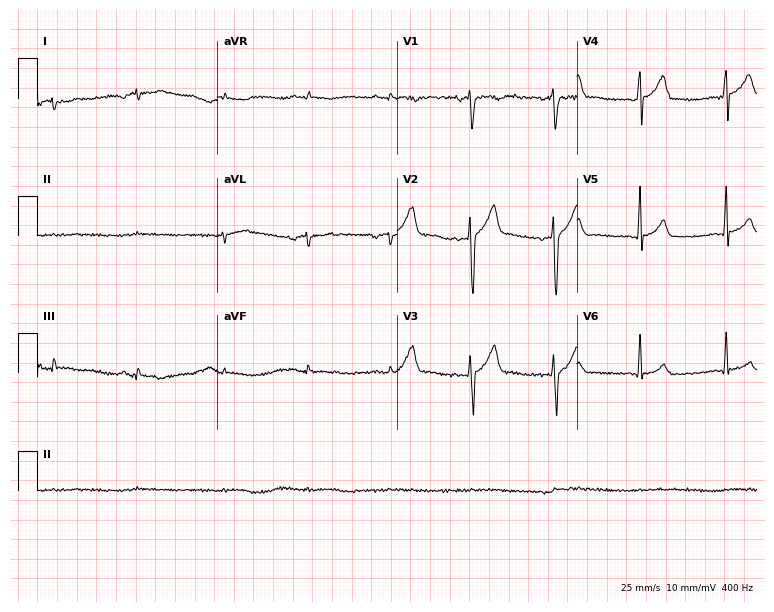
ECG — a 31-year-old male. Screened for six findings — first-degree AV block, right bundle branch block (RBBB), left bundle branch block (LBBB), sinus bradycardia, atrial fibrillation (AF), sinus tachycardia — none is recorded. Findings outside these six are not listed.